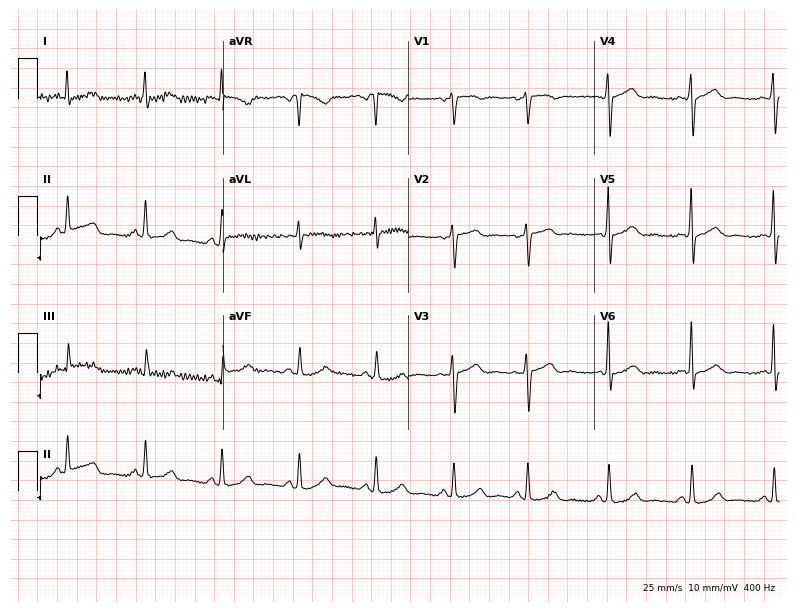
12-lead ECG (7.6-second recording at 400 Hz) from a woman, 49 years old. Labelled as a normal ECG.